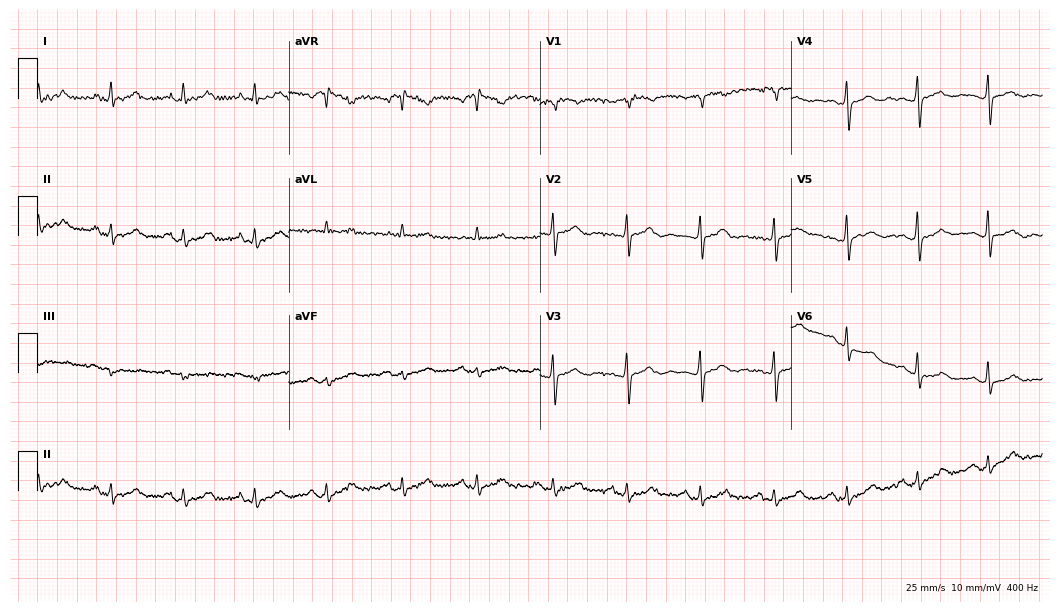
Resting 12-lead electrocardiogram. Patient: a 49-year-old female. Read as a normal ECG.